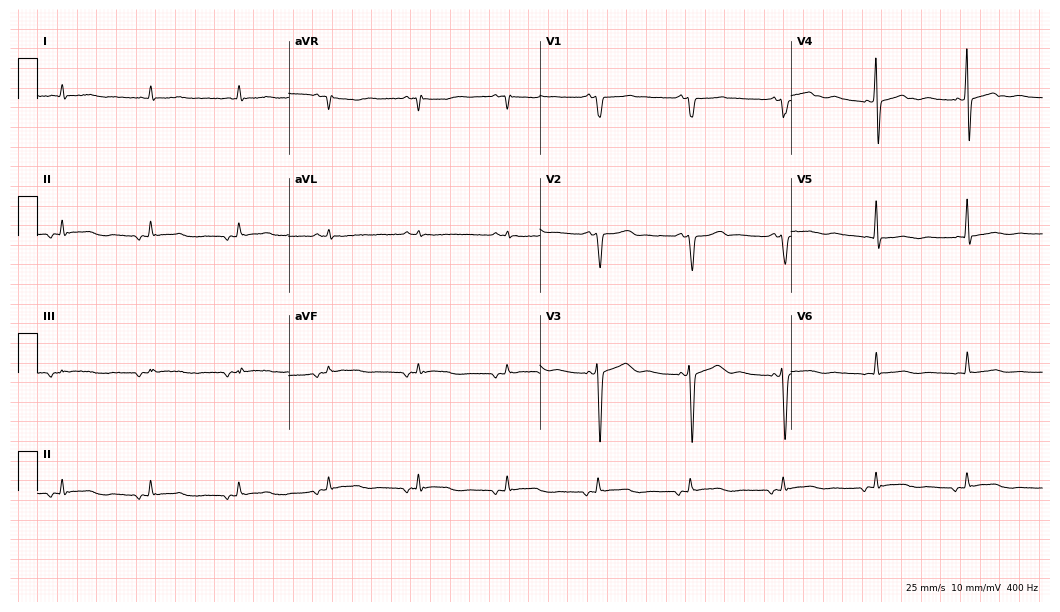
12-lead ECG from a male, 73 years old (10.2-second recording at 400 Hz). Recorded interpretation: within normal limits.